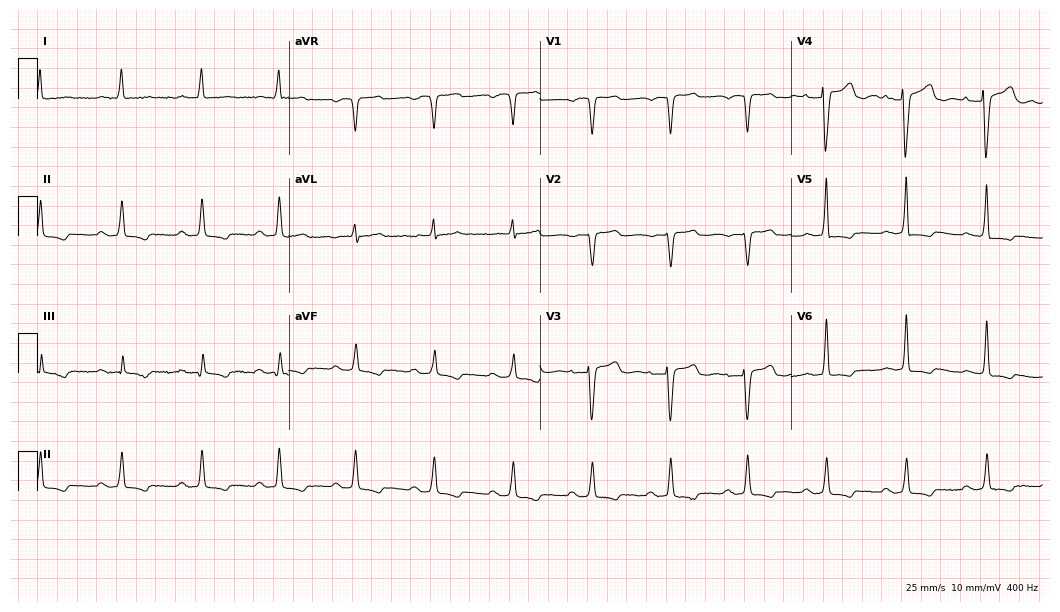
Electrocardiogram, a 59-year-old female. Of the six screened findings (first-degree AV block, right bundle branch block, left bundle branch block, sinus bradycardia, atrial fibrillation, sinus tachycardia), none is recorded.